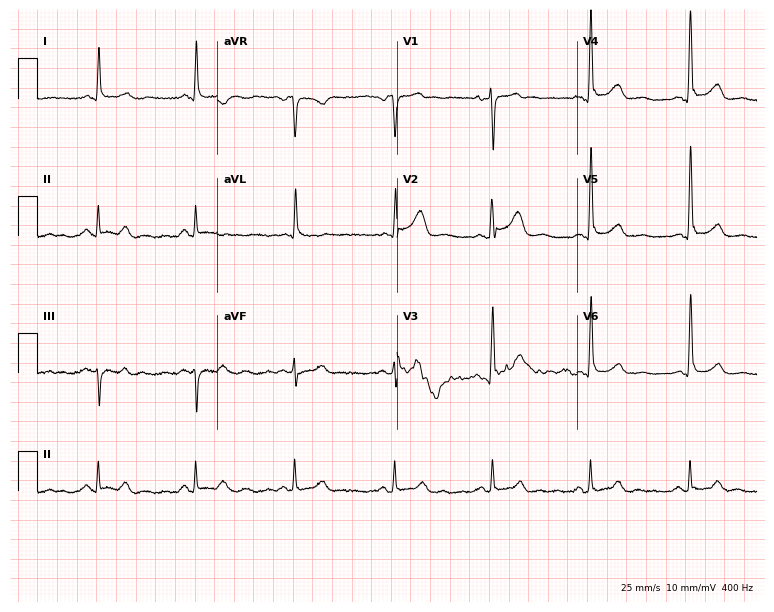
ECG — a 68-year-old man. Screened for six findings — first-degree AV block, right bundle branch block, left bundle branch block, sinus bradycardia, atrial fibrillation, sinus tachycardia — none is recorded.